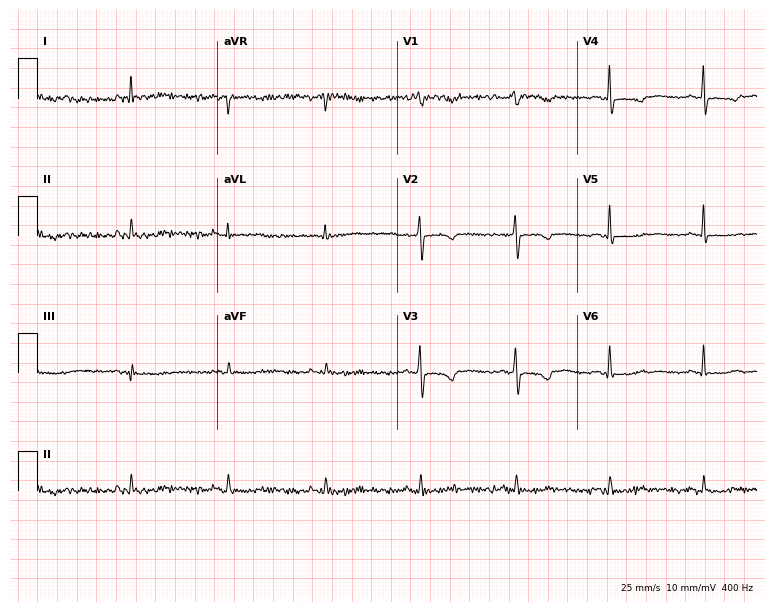
Resting 12-lead electrocardiogram. Patient: a 61-year-old female. None of these six findings is recorded: first-degree AV block, right bundle branch block, left bundle branch block, sinus bradycardia, atrial fibrillation, sinus tachycardia.